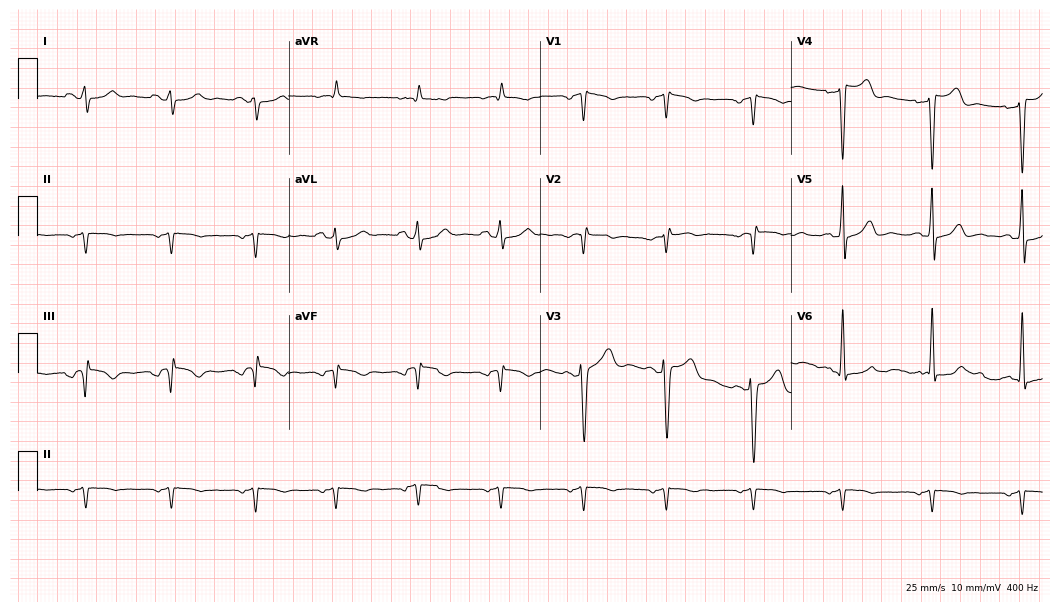
Electrocardiogram (10.2-second recording at 400 Hz), a male patient, 48 years old. Of the six screened findings (first-degree AV block, right bundle branch block, left bundle branch block, sinus bradycardia, atrial fibrillation, sinus tachycardia), none is recorded. Other findings, if any, are not listed.